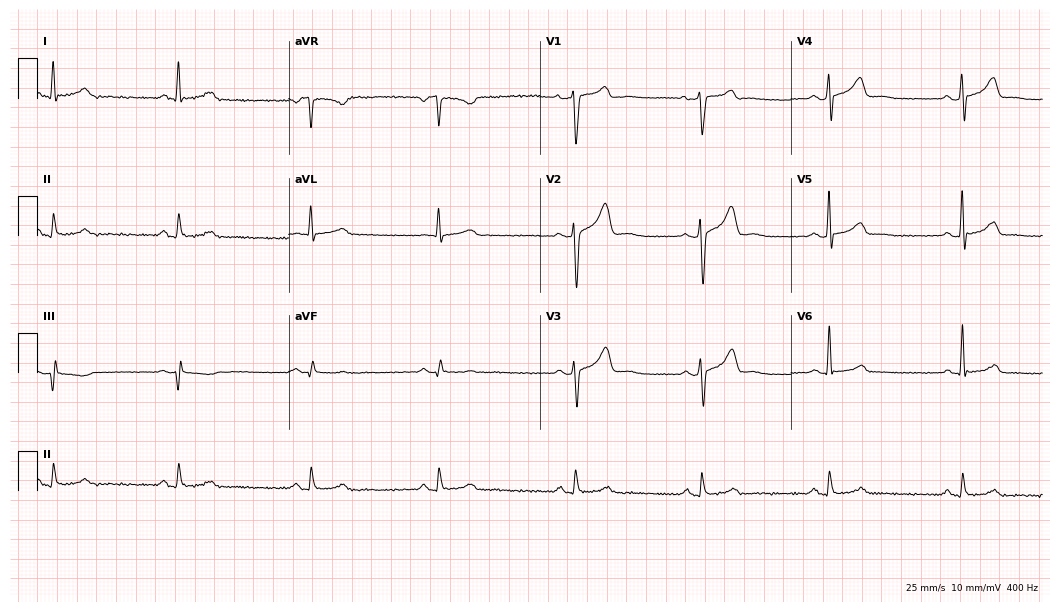
ECG — a man, 59 years old. Findings include sinus bradycardia (a sinus rate of 50 beats per minute or less).